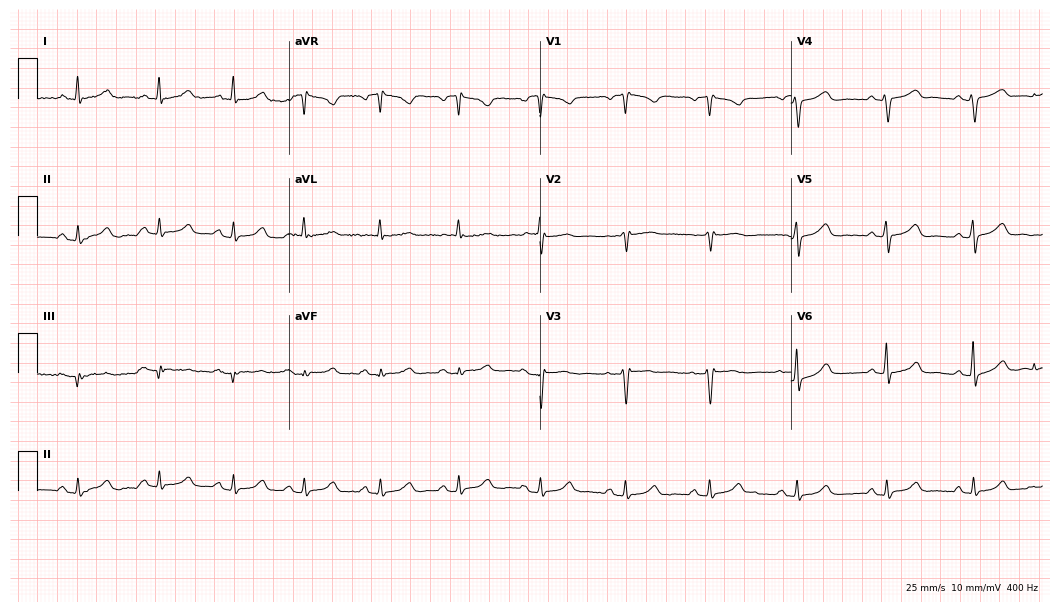
Electrocardiogram (10.2-second recording at 400 Hz), a female, 50 years old. Of the six screened findings (first-degree AV block, right bundle branch block (RBBB), left bundle branch block (LBBB), sinus bradycardia, atrial fibrillation (AF), sinus tachycardia), none is recorded.